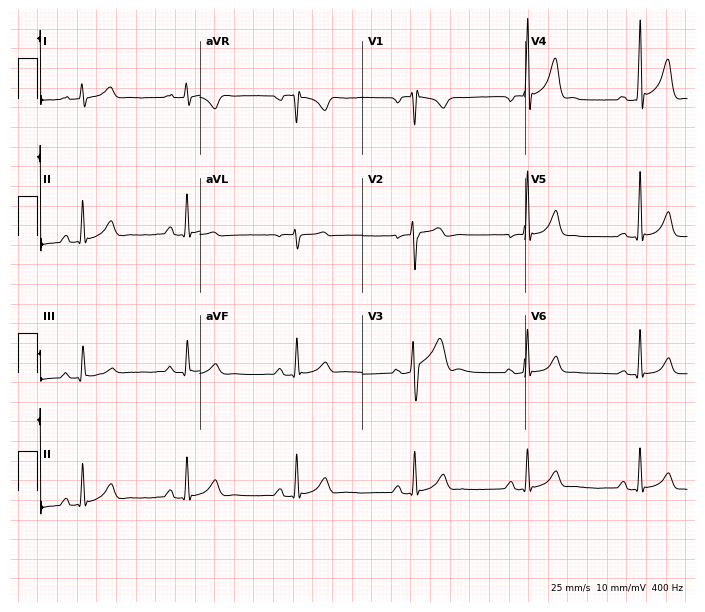
12-lead ECG from a 31-year-old man (6.6-second recording at 400 Hz). Recorded interpretation: within normal limits.